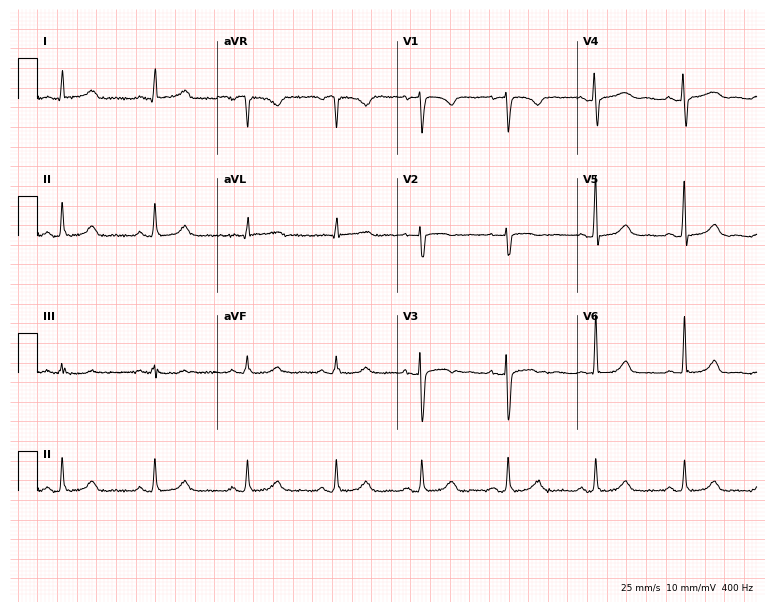
12-lead ECG (7.3-second recording at 400 Hz) from a female, 46 years old. Screened for six findings — first-degree AV block, right bundle branch block, left bundle branch block, sinus bradycardia, atrial fibrillation, sinus tachycardia — none is recorded.